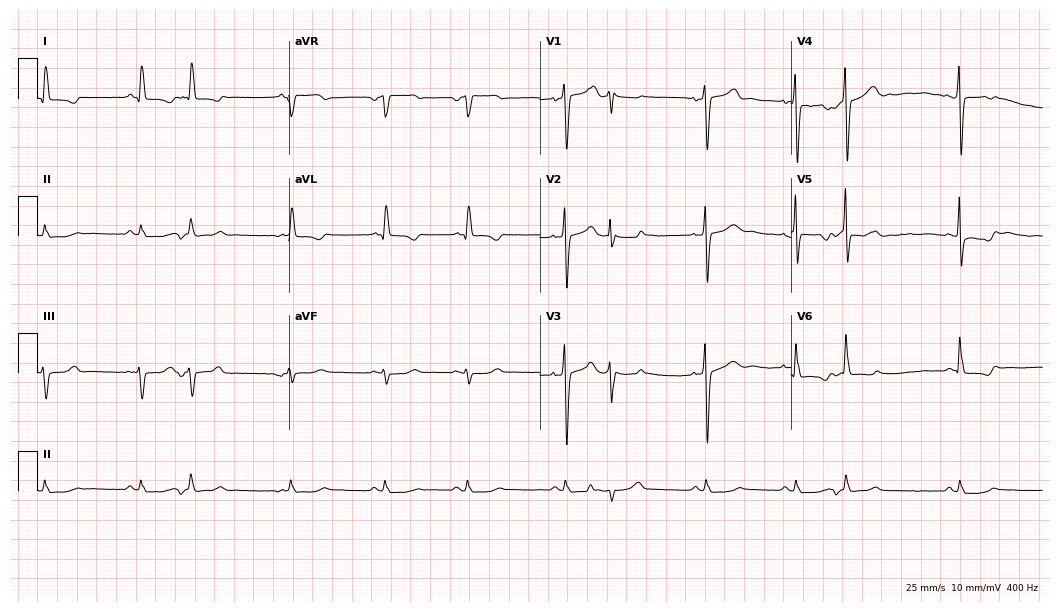
ECG (10.2-second recording at 400 Hz) — a 79-year-old female. Screened for six findings — first-degree AV block, right bundle branch block, left bundle branch block, sinus bradycardia, atrial fibrillation, sinus tachycardia — none is recorded.